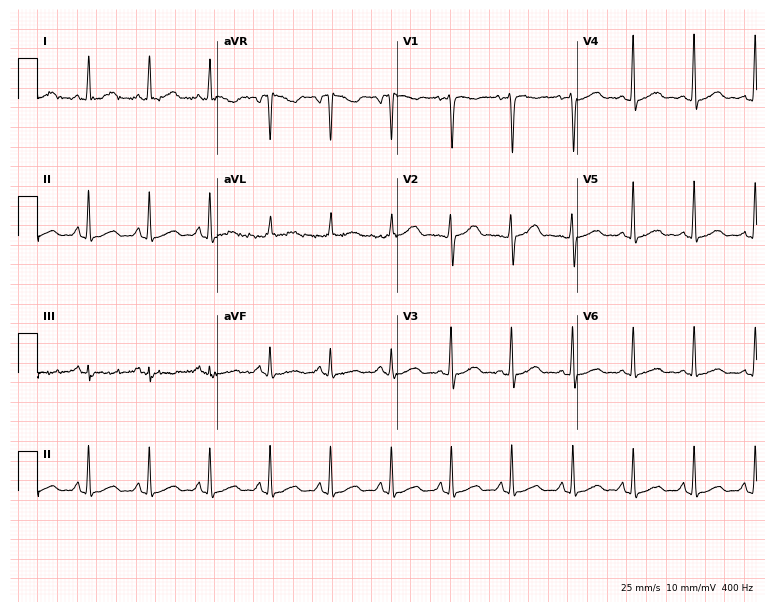
12-lead ECG from a female patient, 41 years old. Labelled as a normal ECG.